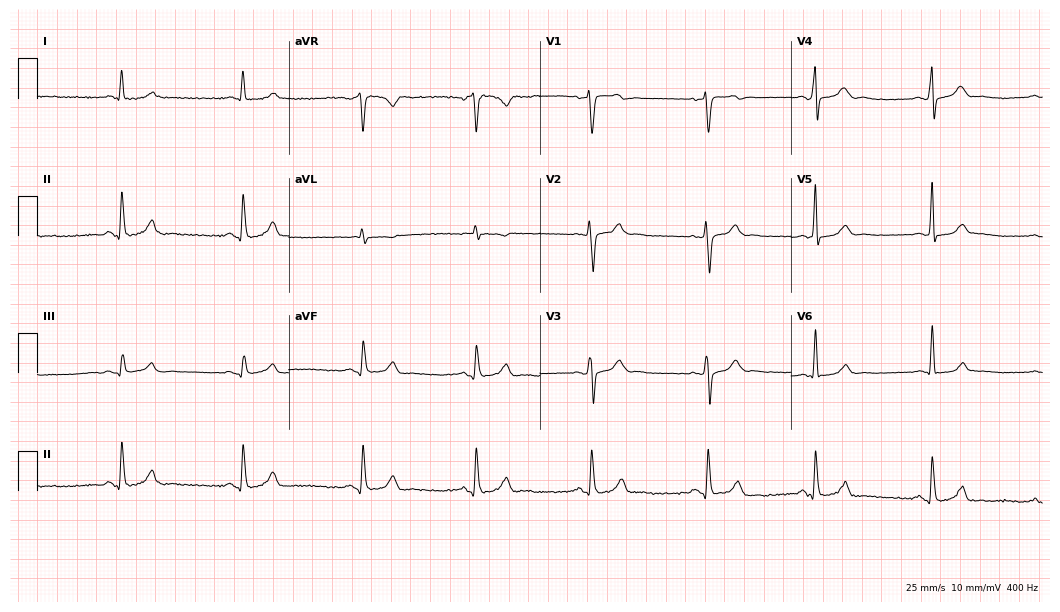
Resting 12-lead electrocardiogram. Patient: a 43-year-old male. None of these six findings is recorded: first-degree AV block, right bundle branch block, left bundle branch block, sinus bradycardia, atrial fibrillation, sinus tachycardia. Findings outside these six are not listed.